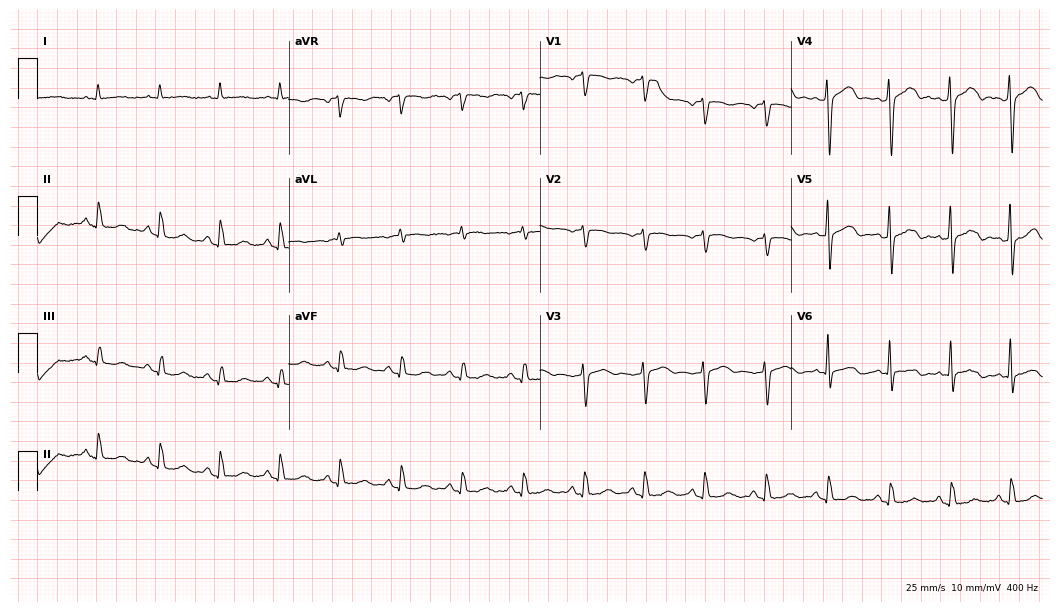
12-lead ECG from a male patient, 78 years old. Recorded interpretation: within normal limits.